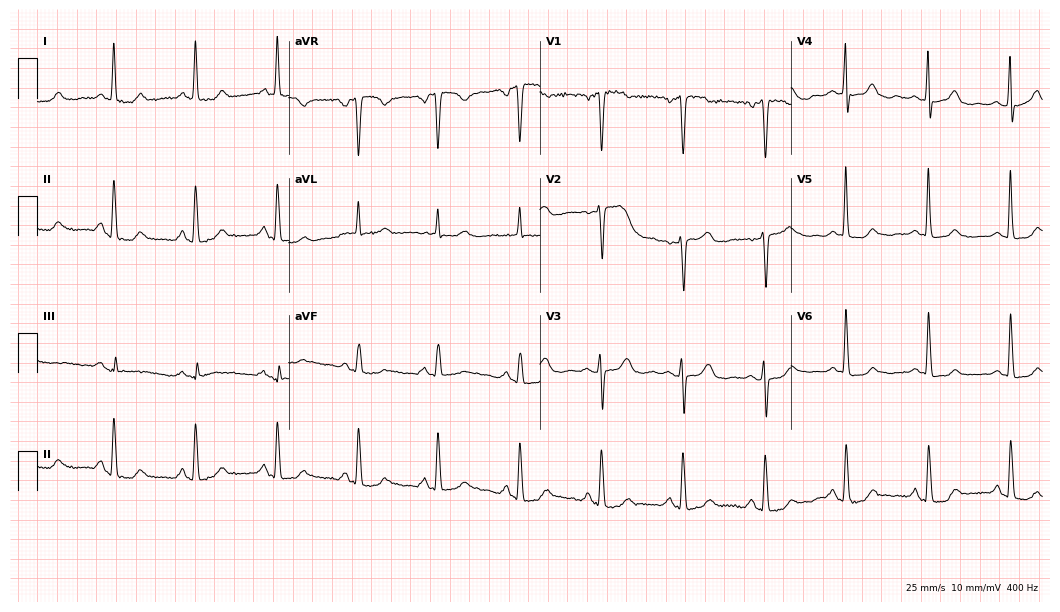
12-lead ECG from a 65-year-old woman. Screened for six findings — first-degree AV block, right bundle branch block, left bundle branch block, sinus bradycardia, atrial fibrillation, sinus tachycardia — none is recorded. Findings outside these six are not listed.